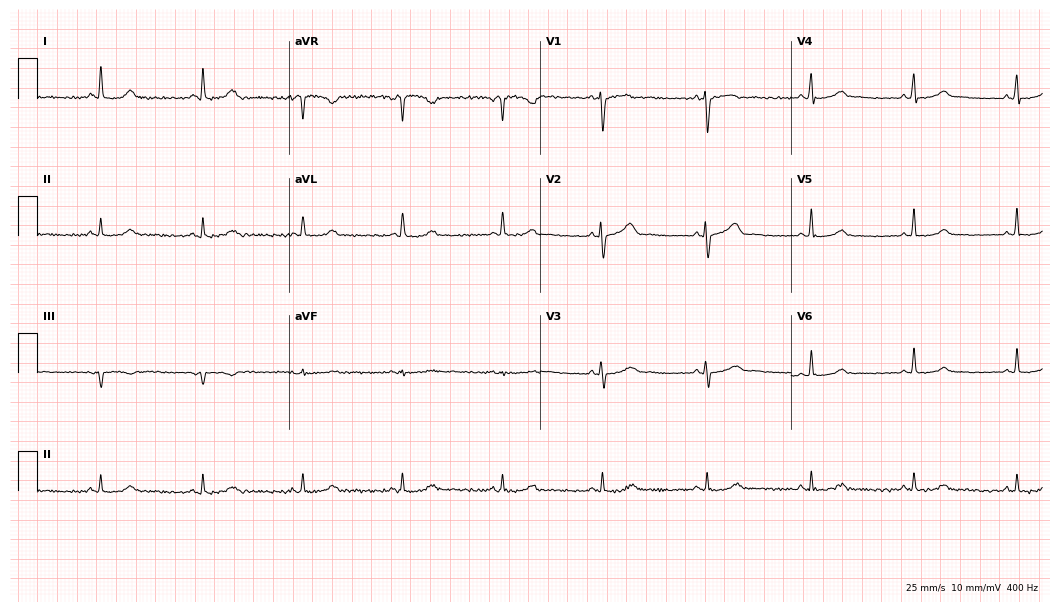
Electrocardiogram (10.2-second recording at 400 Hz), a 50-year-old woman. Overall reading on record: normal ECG.